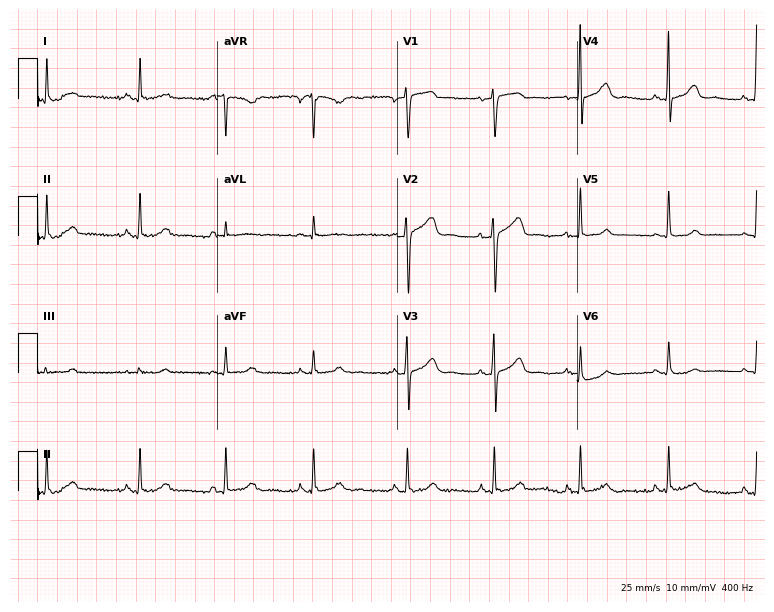
12-lead ECG from a female patient, 51 years old. Labelled as a normal ECG.